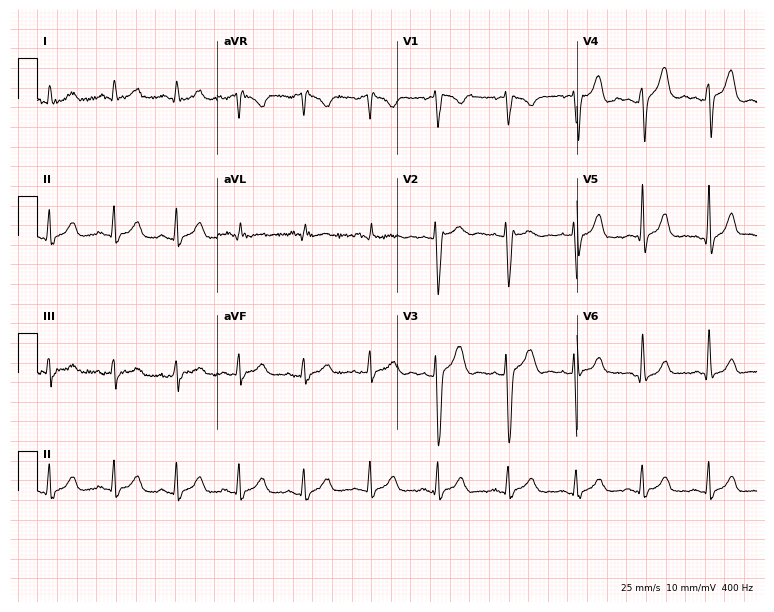
Standard 12-lead ECG recorded from a 24-year-old male patient. None of these six findings is recorded: first-degree AV block, right bundle branch block, left bundle branch block, sinus bradycardia, atrial fibrillation, sinus tachycardia.